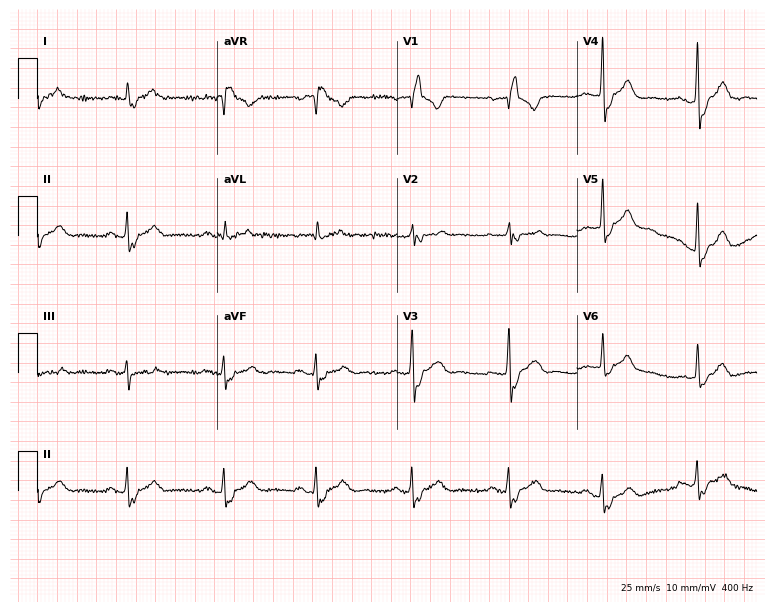
Electrocardiogram, a 60-year-old male patient. Interpretation includes right bundle branch block.